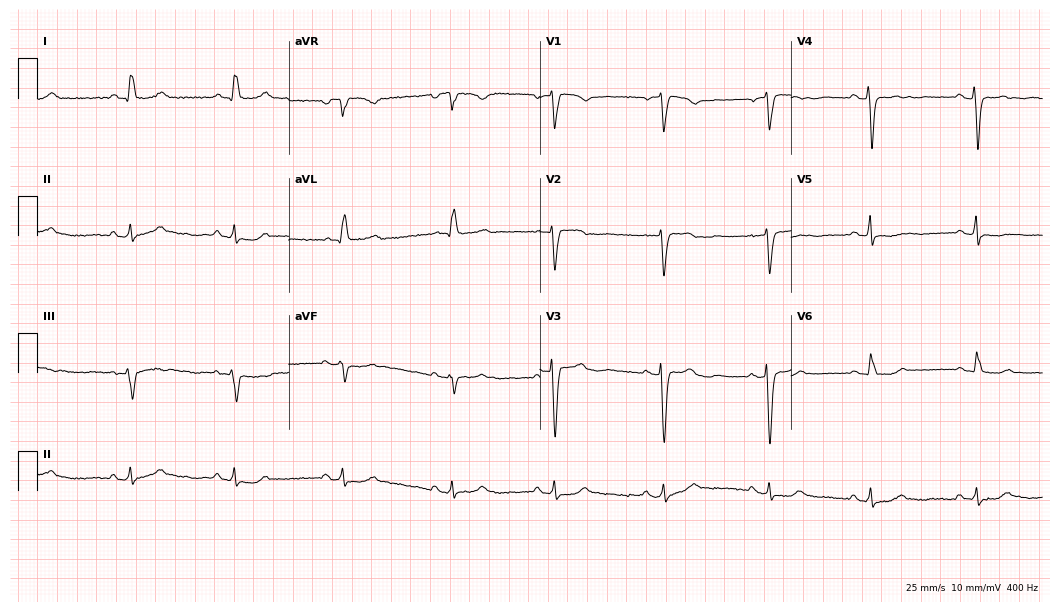
Electrocardiogram, a woman, 51 years old. Of the six screened findings (first-degree AV block, right bundle branch block, left bundle branch block, sinus bradycardia, atrial fibrillation, sinus tachycardia), none is recorded. Only these six findings were labelled.